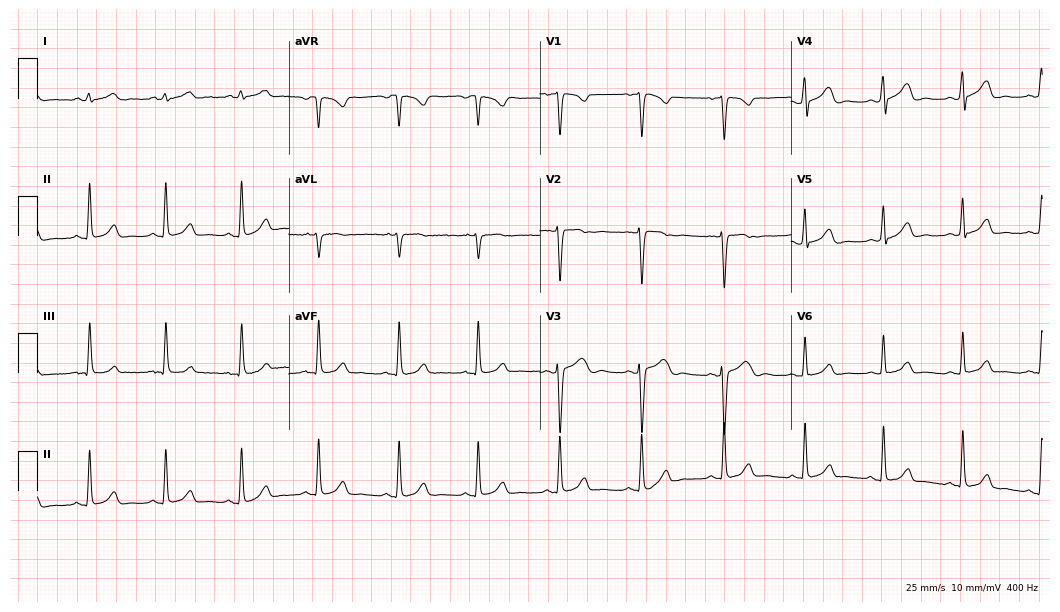
Standard 12-lead ECG recorded from a 30-year-old female patient. Read as a normal ECG.